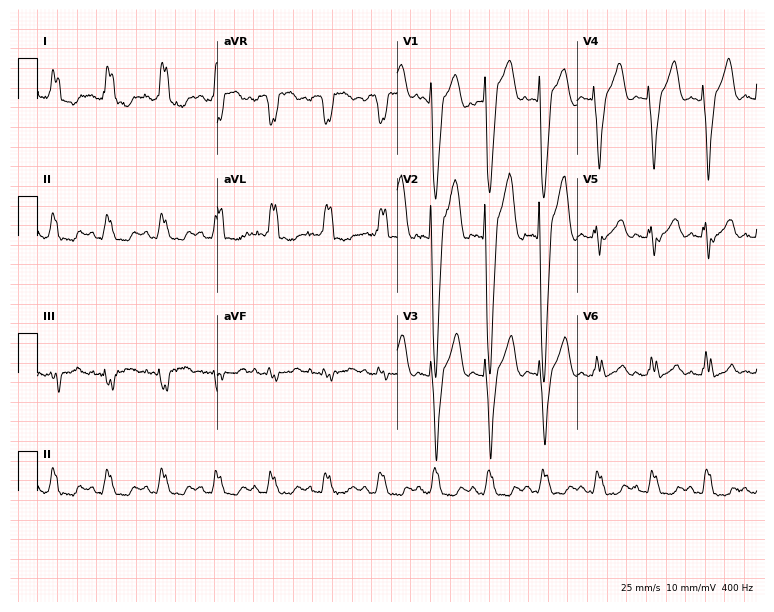
12-lead ECG from an 80-year-old female (7.3-second recording at 400 Hz). Shows left bundle branch block.